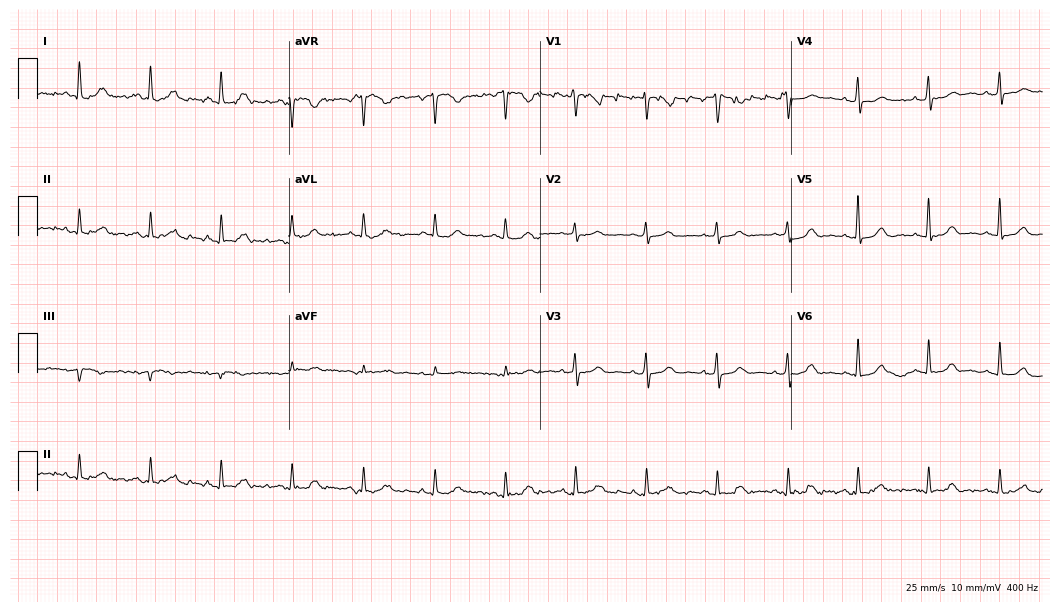
12-lead ECG from a 66-year-old female patient. Recorded interpretation: within normal limits.